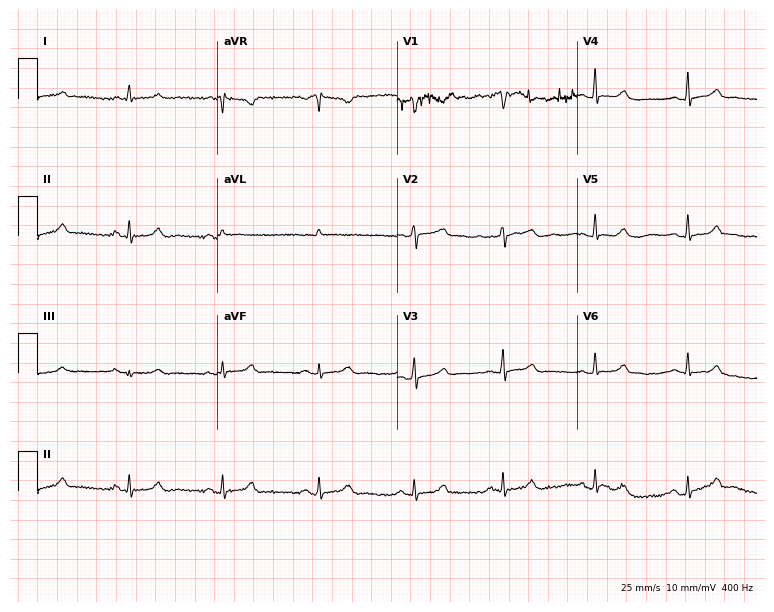
ECG — a woman, 56 years old. Screened for six findings — first-degree AV block, right bundle branch block, left bundle branch block, sinus bradycardia, atrial fibrillation, sinus tachycardia — none is recorded. Findings outside these six are not listed.